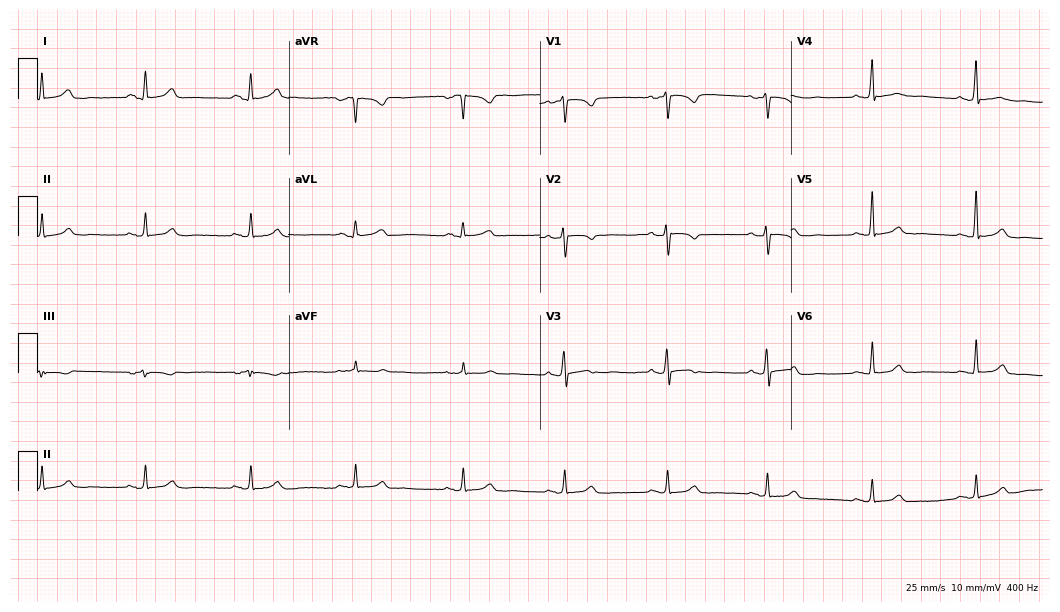
Electrocardiogram (10.2-second recording at 400 Hz), a 52-year-old woman. Of the six screened findings (first-degree AV block, right bundle branch block (RBBB), left bundle branch block (LBBB), sinus bradycardia, atrial fibrillation (AF), sinus tachycardia), none is recorded. Other findings, if any, are not listed.